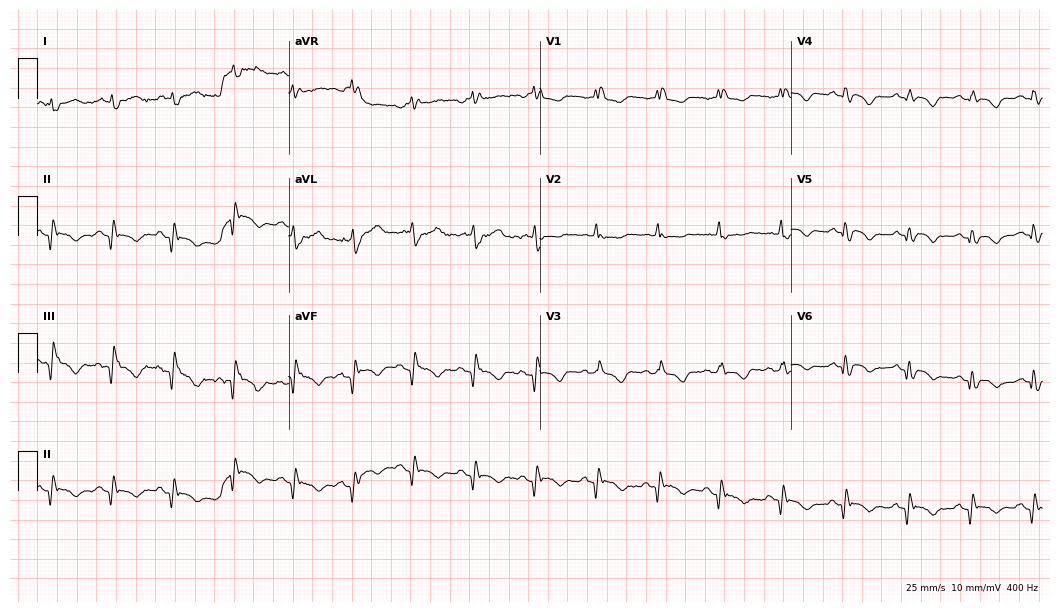
Resting 12-lead electrocardiogram. Patient: a 67-year-old male. None of these six findings is recorded: first-degree AV block, right bundle branch block, left bundle branch block, sinus bradycardia, atrial fibrillation, sinus tachycardia. Only these six findings were labelled.